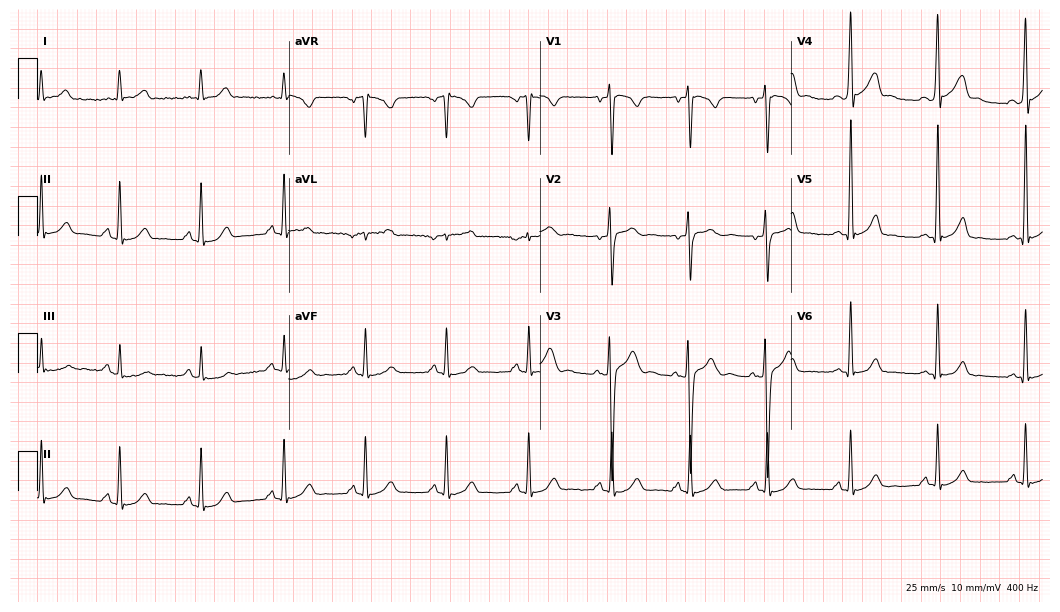
12-lead ECG from a male patient, 25 years old. Recorded interpretation: within normal limits.